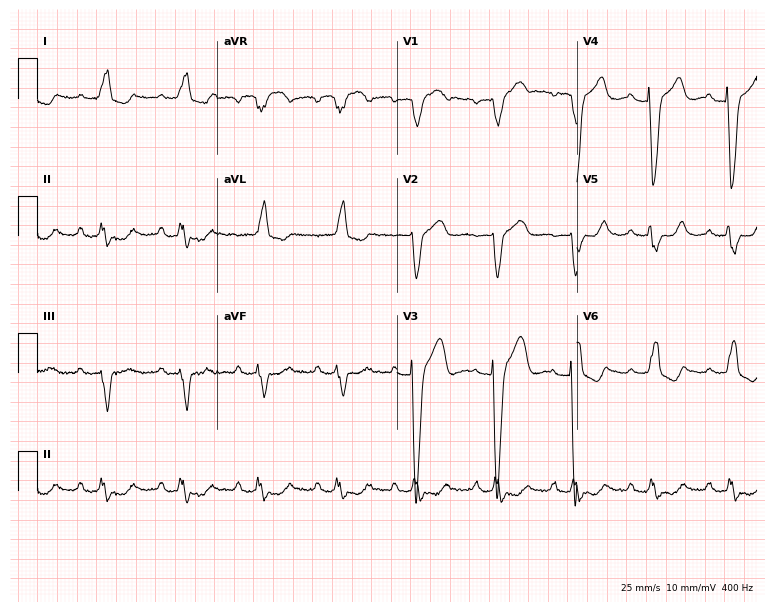
12-lead ECG from a woman, 71 years old. No first-degree AV block, right bundle branch block, left bundle branch block, sinus bradycardia, atrial fibrillation or sinus tachycardia recorded for this tracing. Other findings, if any, are not listed.